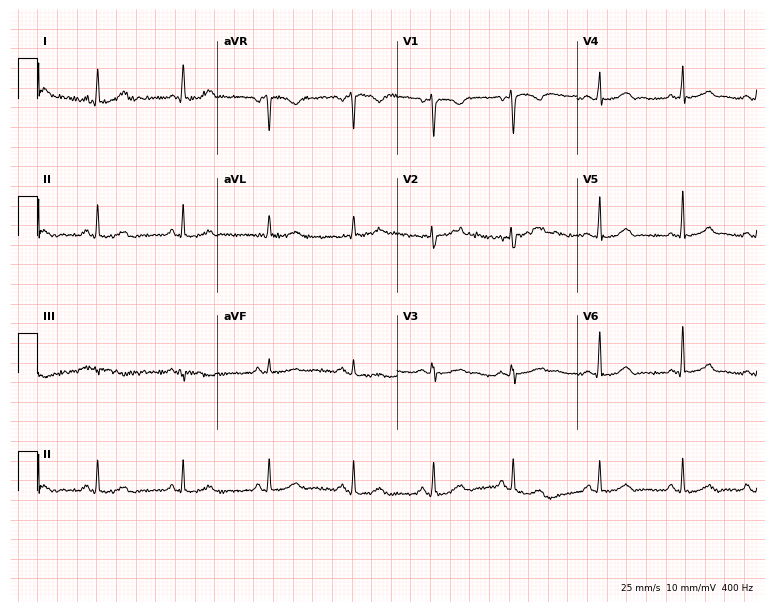
Electrocardiogram, a woman, 29 years old. Overall reading on record: normal ECG.